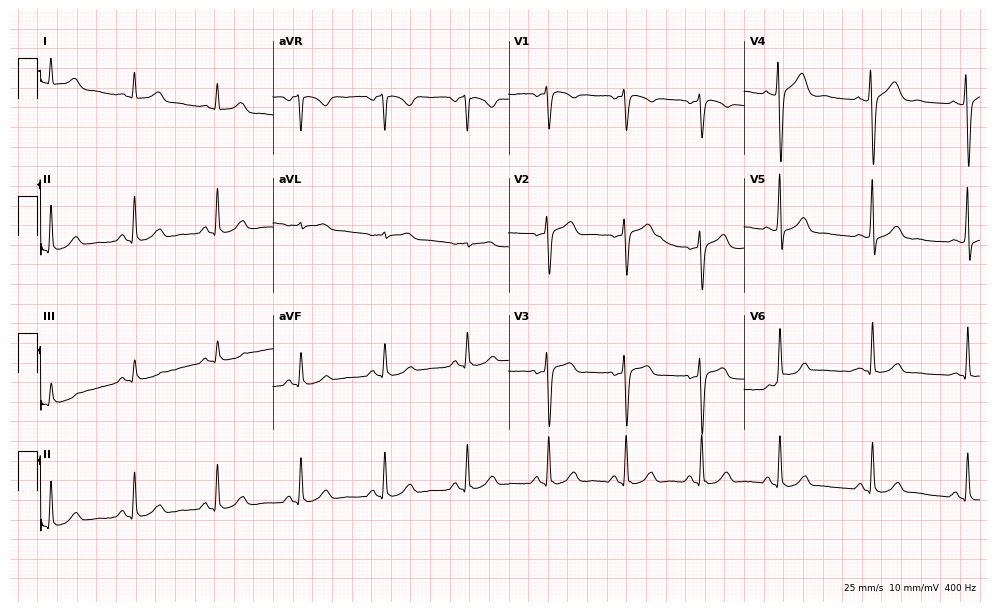
12-lead ECG from a 47-year-old male. Labelled as a normal ECG.